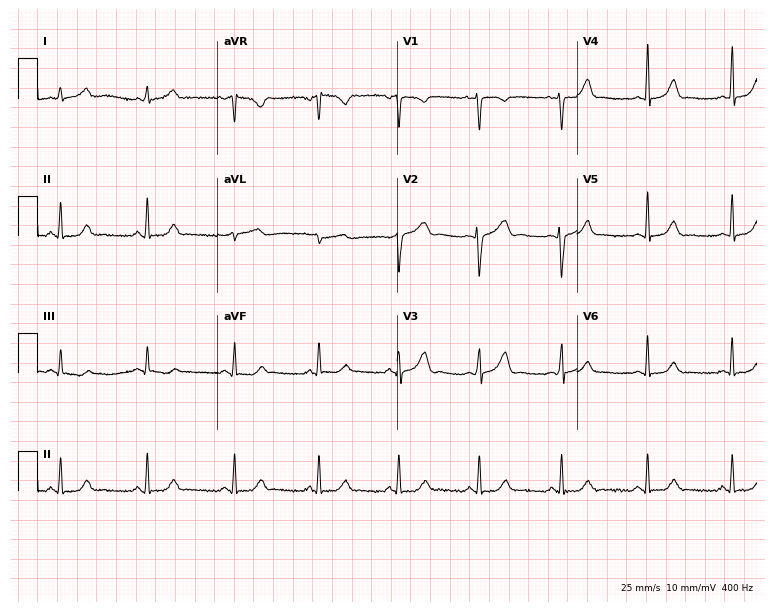
12-lead ECG from a female, 32 years old. Recorded interpretation: within normal limits.